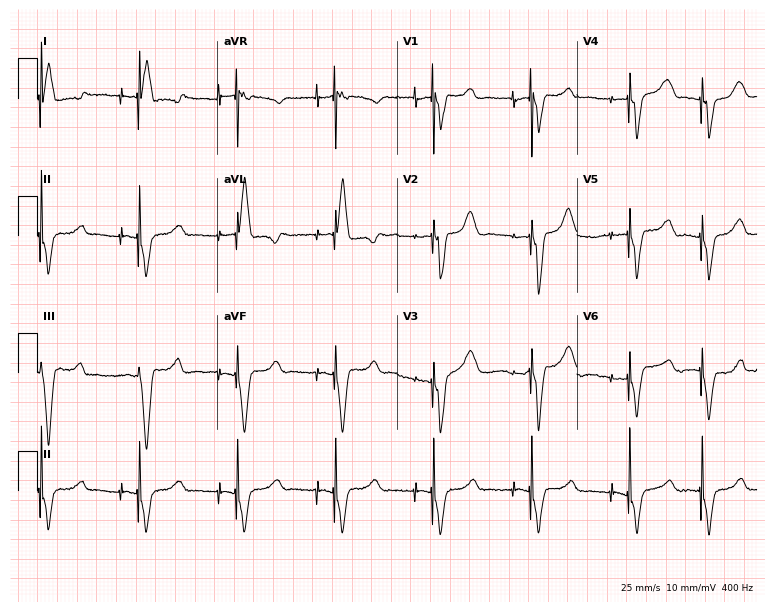
12-lead ECG from a female, 77 years old. Screened for six findings — first-degree AV block, right bundle branch block, left bundle branch block, sinus bradycardia, atrial fibrillation, sinus tachycardia — none is recorded.